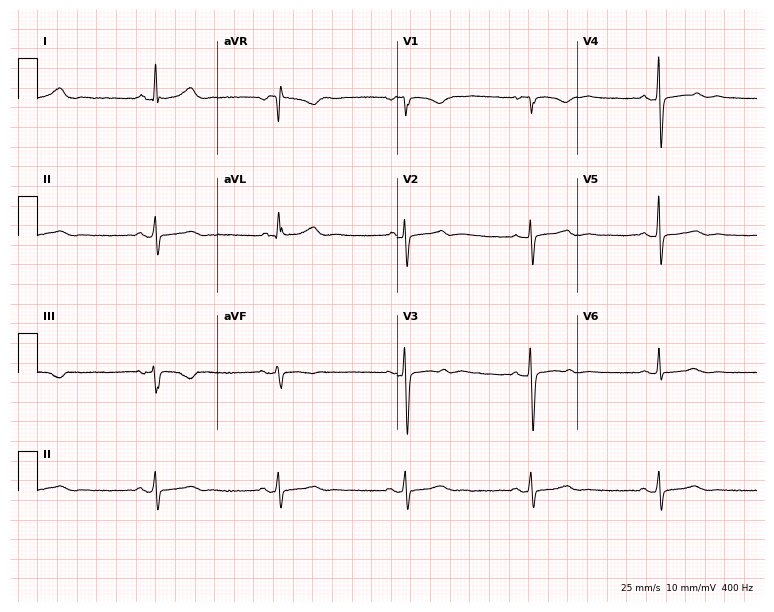
Resting 12-lead electrocardiogram (7.3-second recording at 400 Hz). Patient: a female, 61 years old. The tracing shows sinus bradycardia (a sinus rate of 50 beats per minute or less).